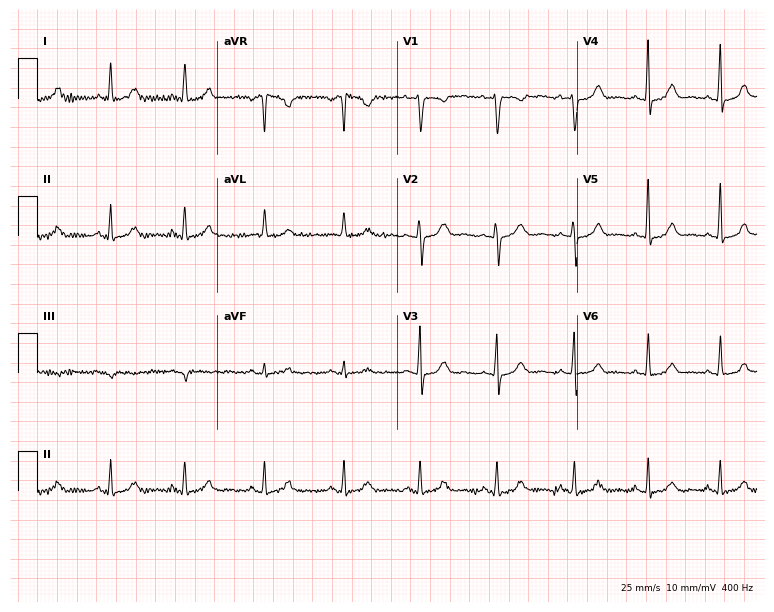
12-lead ECG (7.3-second recording at 400 Hz) from a 40-year-old female patient. Labelled as a normal ECG.